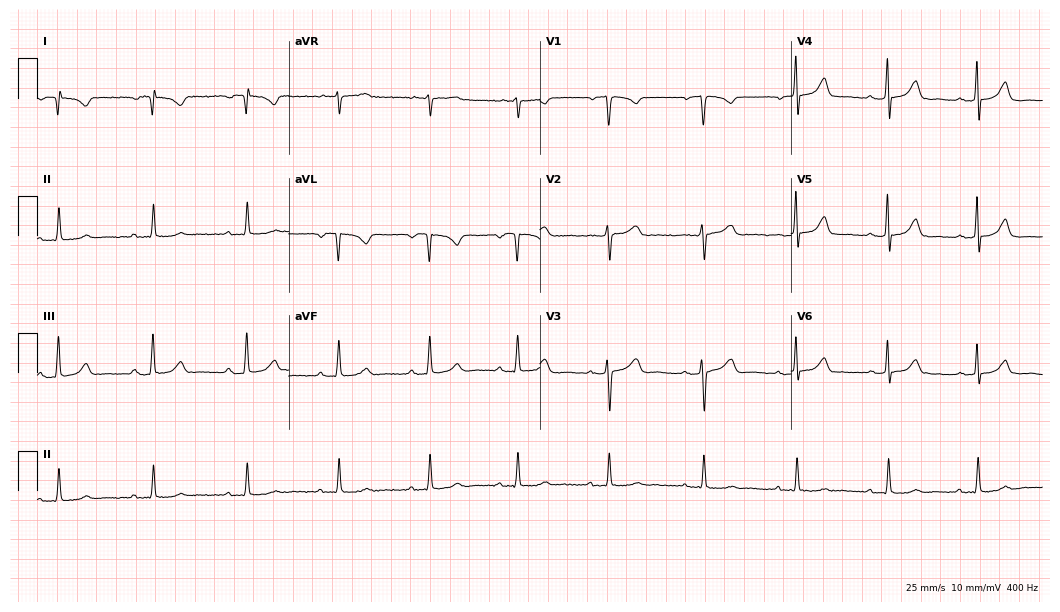
12-lead ECG from a female, 62 years old. Screened for six findings — first-degree AV block, right bundle branch block (RBBB), left bundle branch block (LBBB), sinus bradycardia, atrial fibrillation (AF), sinus tachycardia — none is recorded.